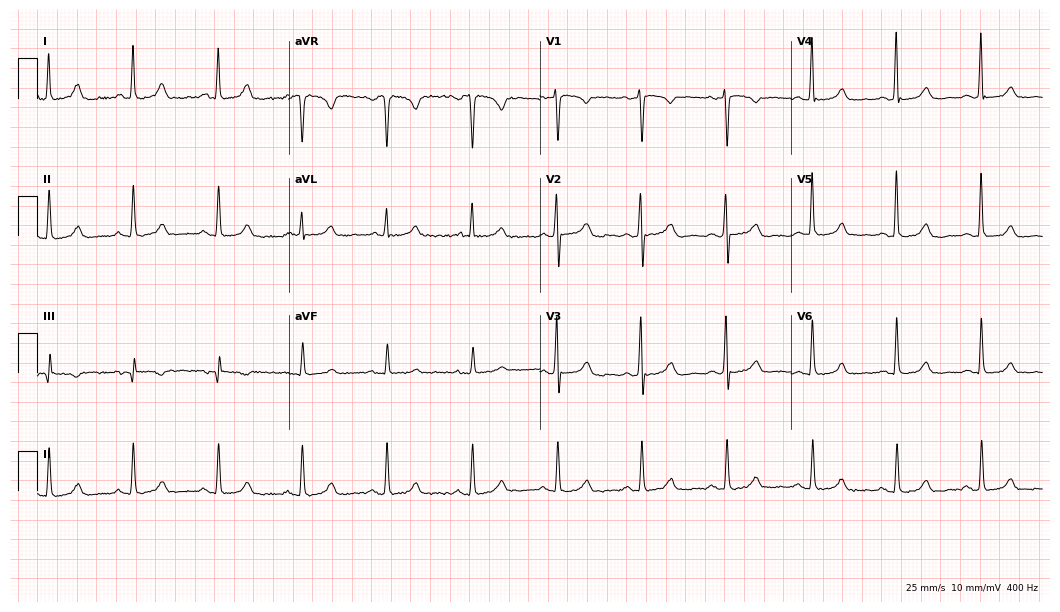
12-lead ECG from a 45-year-old female patient (10.2-second recording at 400 Hz). Recorded interpretation: within normal limits.